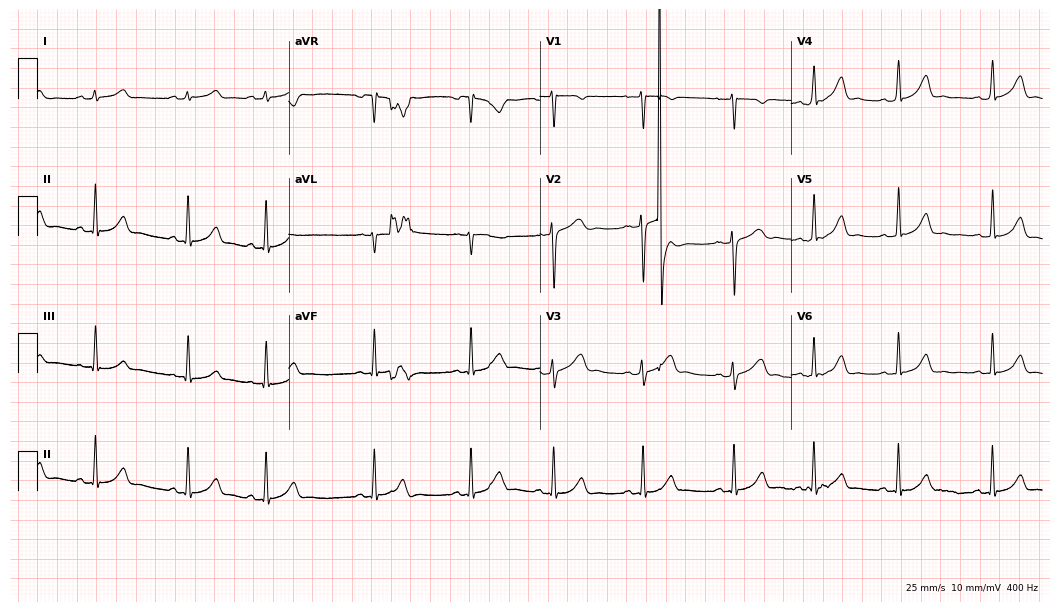
Electrocardiogram, a 19-year-old female patient. Overall reading on record: normal ECG.